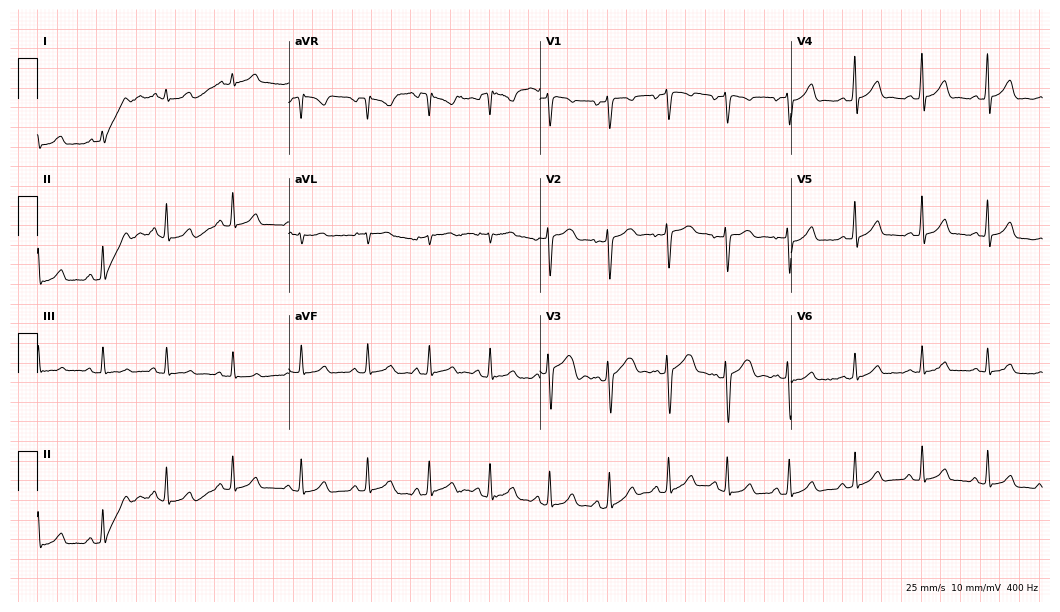
Electrocardiogram, a 28-year-old woman. Overall reading on record: normal ECG.